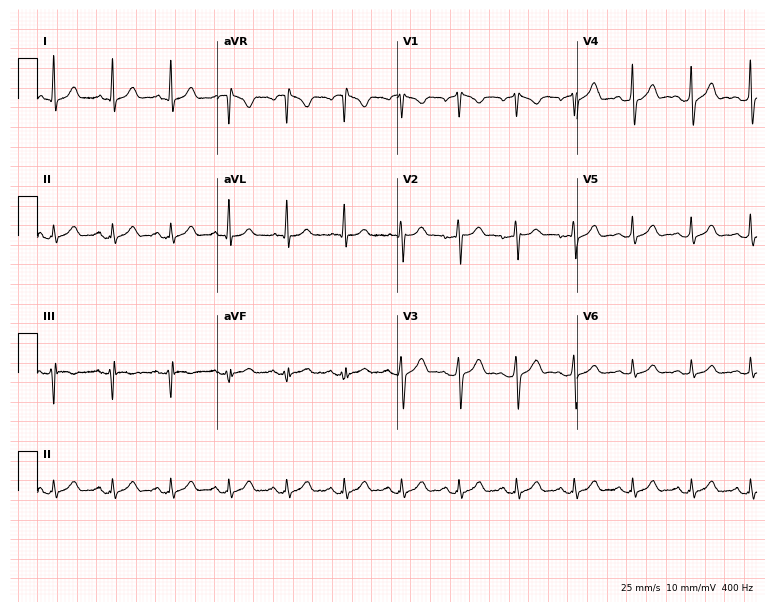
12-lead ECG from a 45-year-old man. Labelled as a normal ECG.